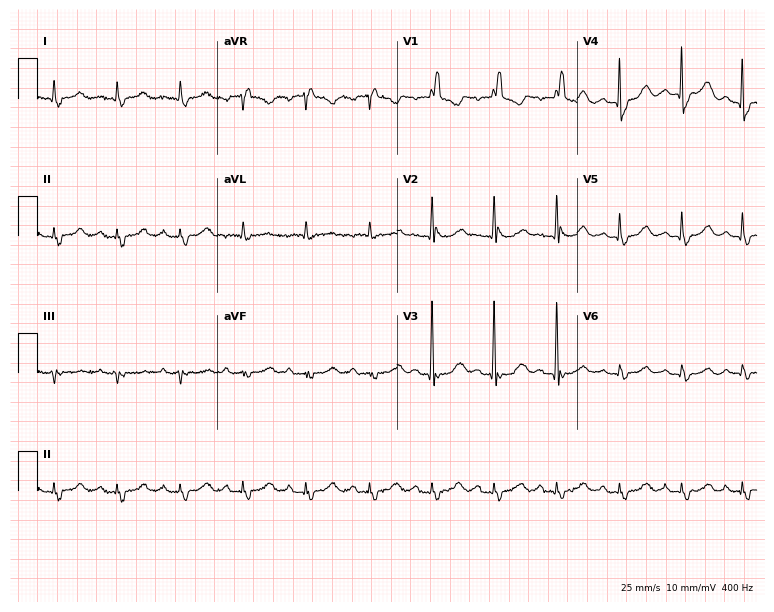
12-lead ECG from a woman, 77 years old. Findings include right bundle branch block (RBBB).